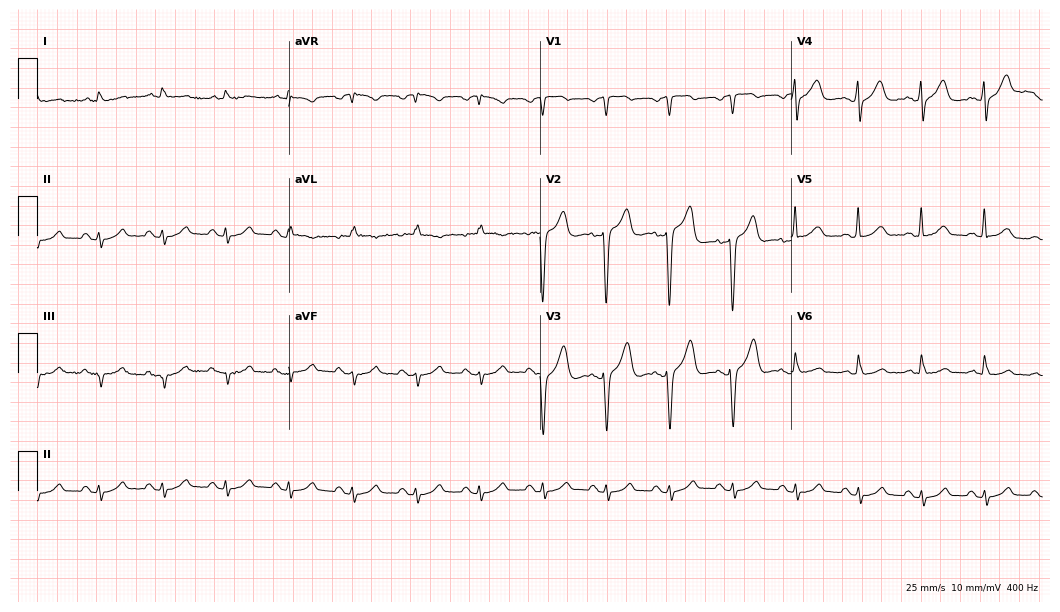
Electrocardiogram (10.2-second recording at 400 Hz), a male, 74 years old. Overall reading on record: normal ECG.